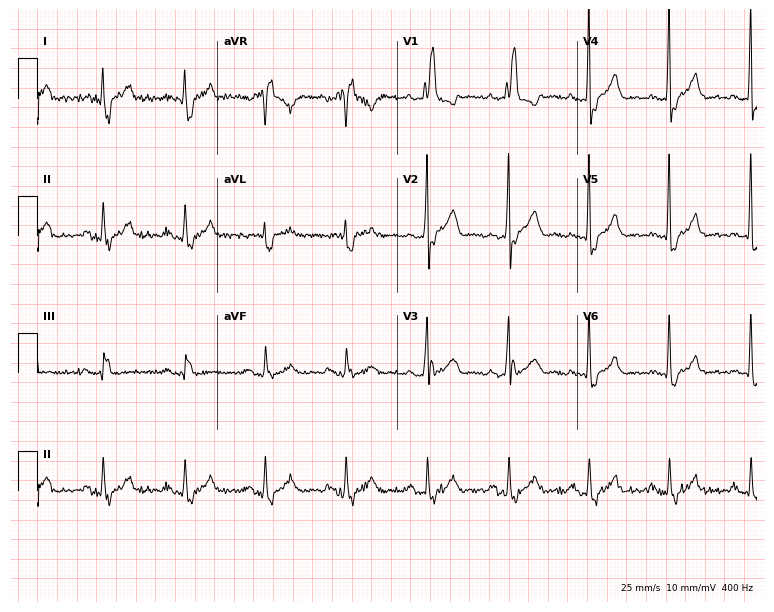
Electrocardiogram, a 65-year-old male patient. Of the six screened findings (first-degree AV block, right bundle branch block (RBBB), left bundle branch block (LBBB), sinus bradycardia, atrial fibrillation (AF), sinus tachycardia), none is recorded.